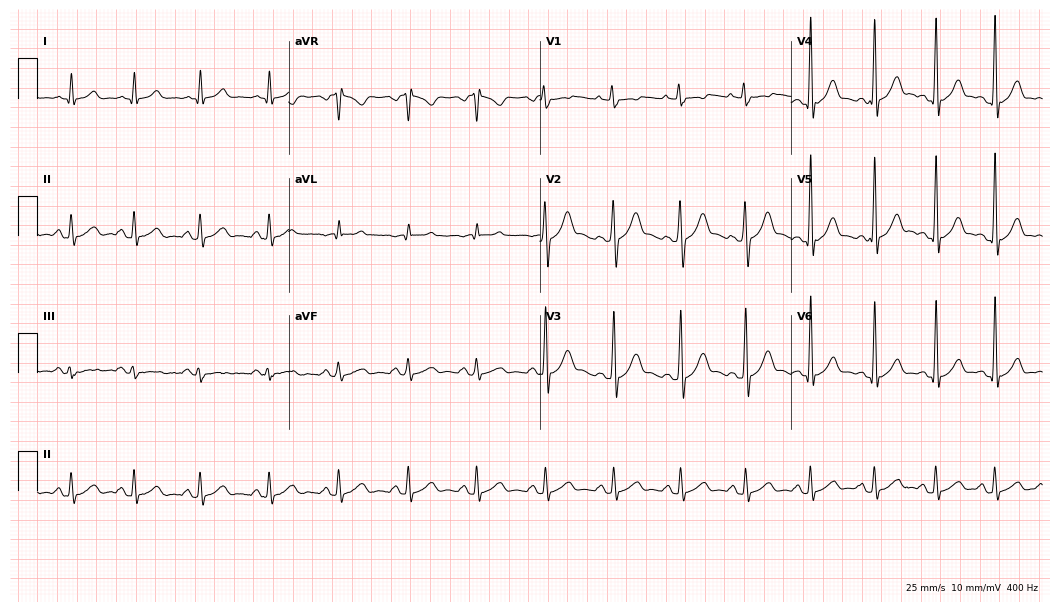
Standard 12-lead ECG recorded from a male patient, 37 years old. Read as a normal ECG.